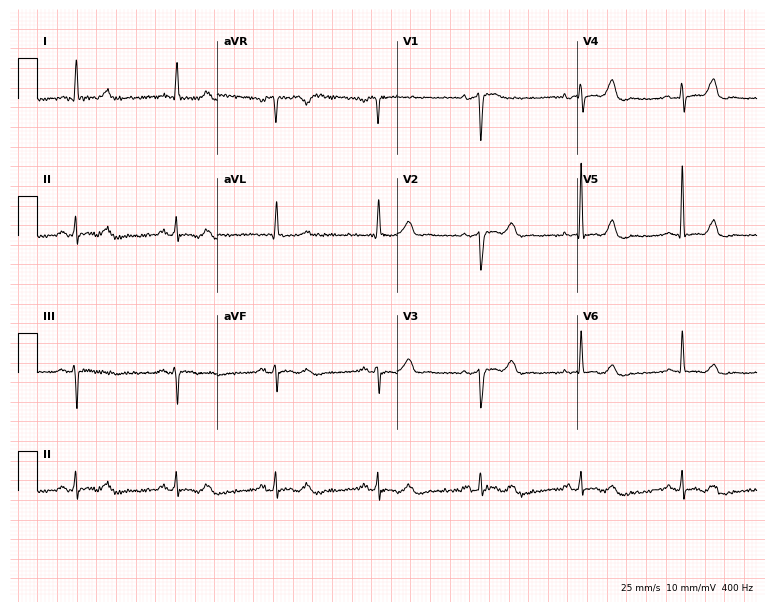
ECG (7.3-second recording at 400 Hz) — a 77-year-old woman. Labelled as a normal ECG.